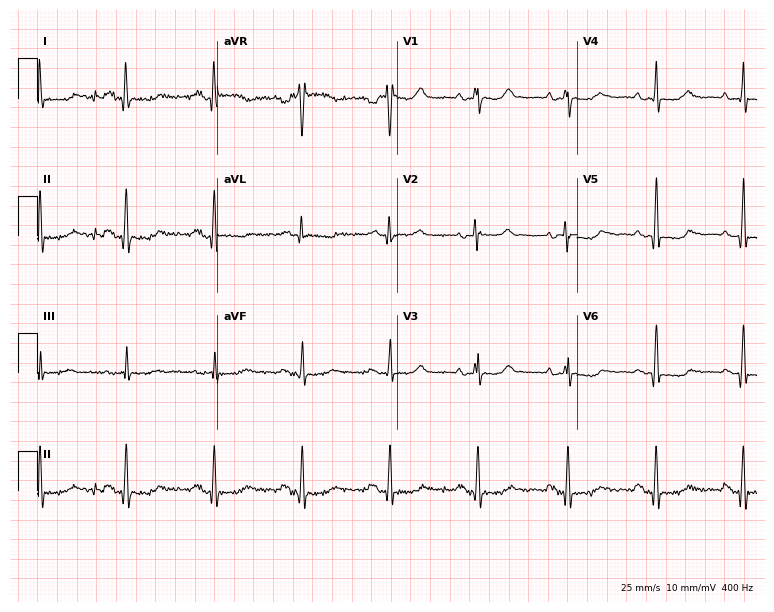
ECG (7.3-second recording at 400 Hz) — a 66-year-old female. Screened for six findings — first-degree AV block, right bundle branch block (RBBB), left bundle branch block (LBBB), sinus bradycardia, atrial fibrillation (AF), sinus tachycardia — none is recorded. Findings outside these six are not listed.